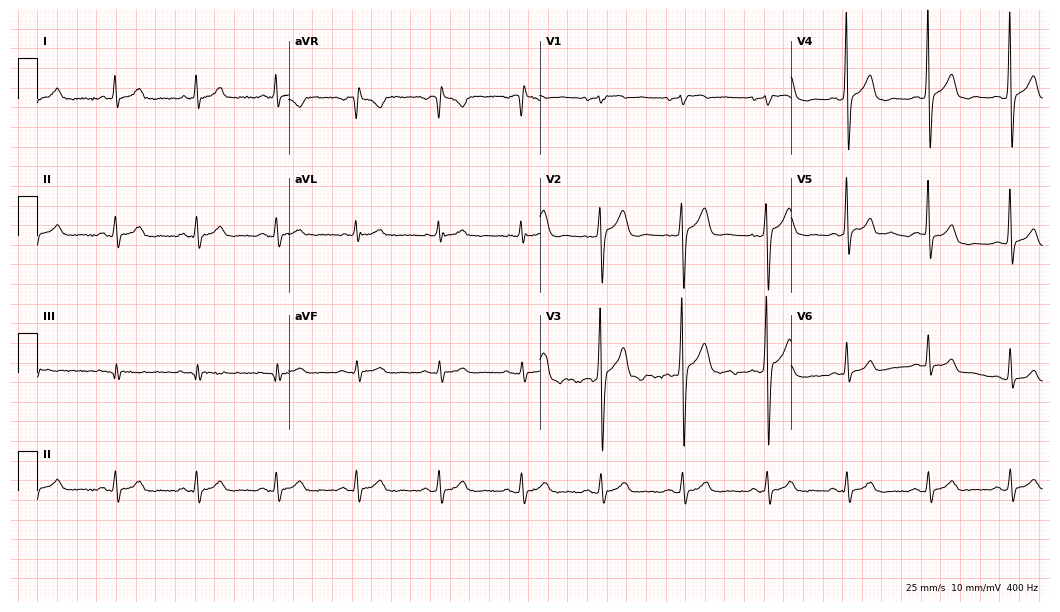
Electrocardiogram (10.2-second recording at 400 Hz), a man, 73 years old. Overall reading on record: normal ECG.